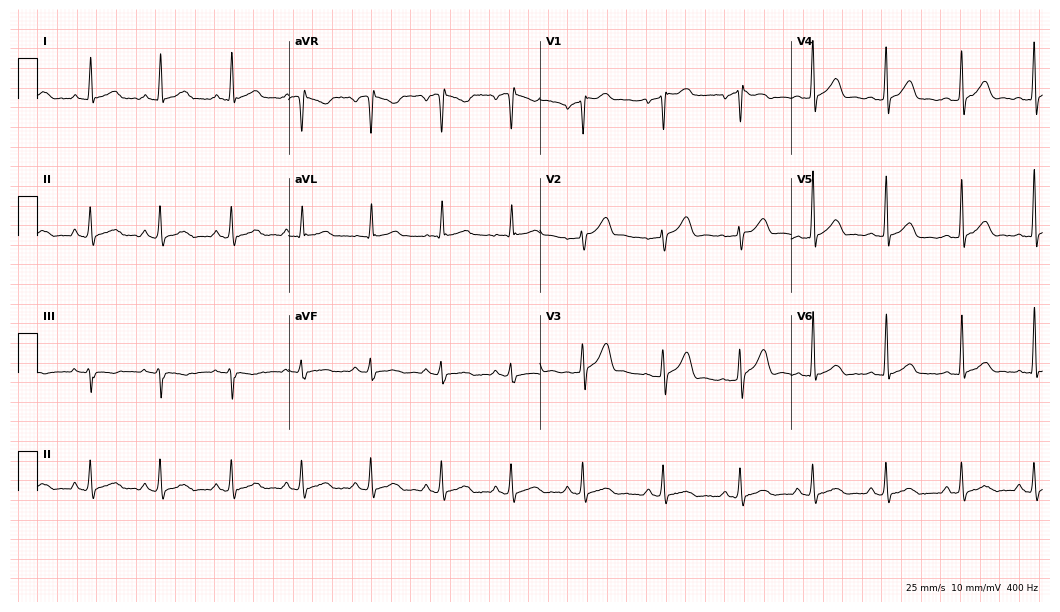
12-lead ECG from a 33-year-old man. Recorded interpretation: within normal limits.